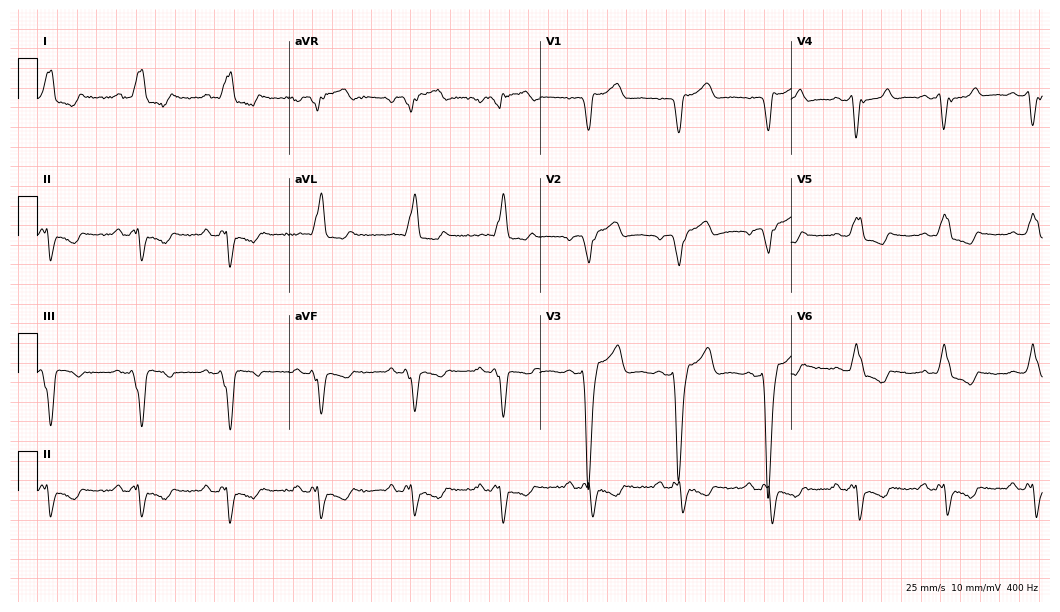
ECG — a 63-year-old male. Findings include left bundle branch block.